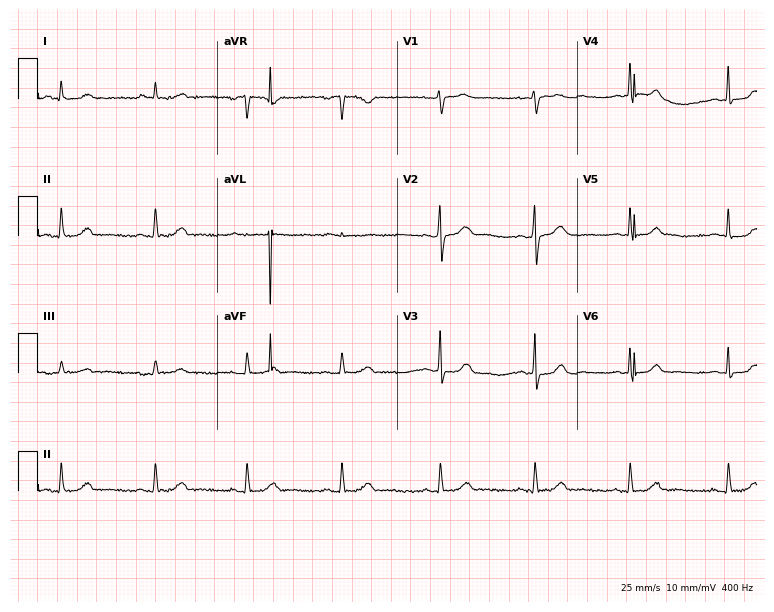
12-lead ECG (7.3-second recording at 400 Hz) from a 45-year-old female. Screened for six findings — first-degree AV block, right bundle branch block, left bundle branch block, sinus bradycardia, atrial fibrillation, sinus tachycardia — none is recorded.